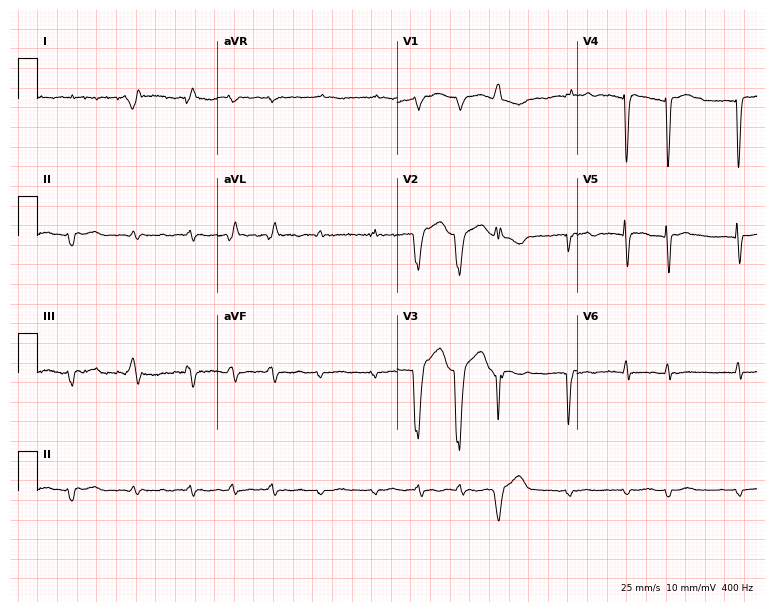
Electrocardiogram, a 72-year-old male patient. Interpretation includes atrial fibrillation, sinus tachycardia (a sinus rate of 100 beats per minute or more).